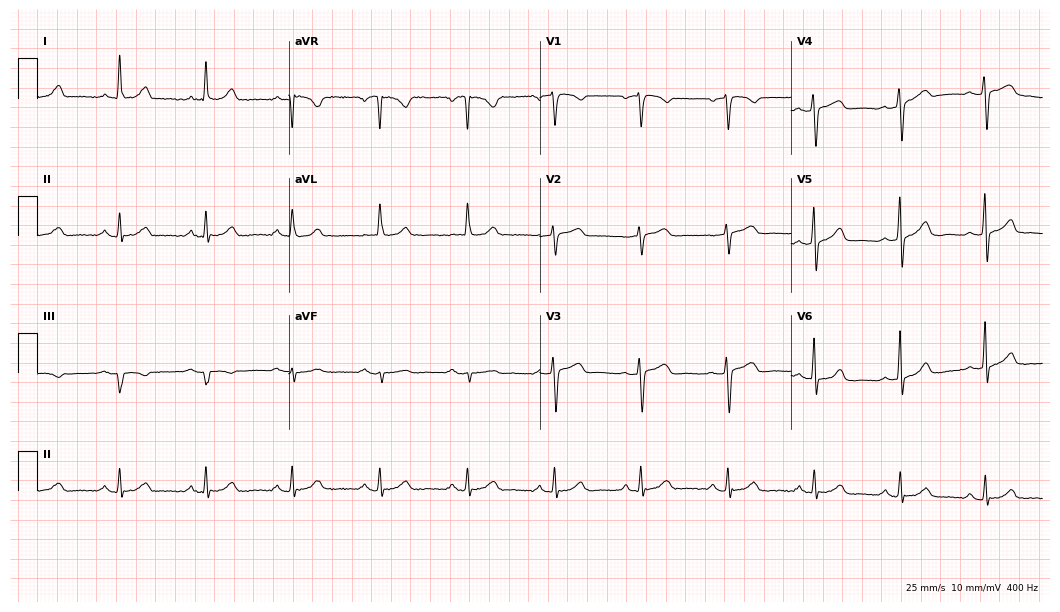
Electrocardiogram (10.2-second recording at 400 Hz), a 56-year-old female patient. Overall reading on record: normal ECG.